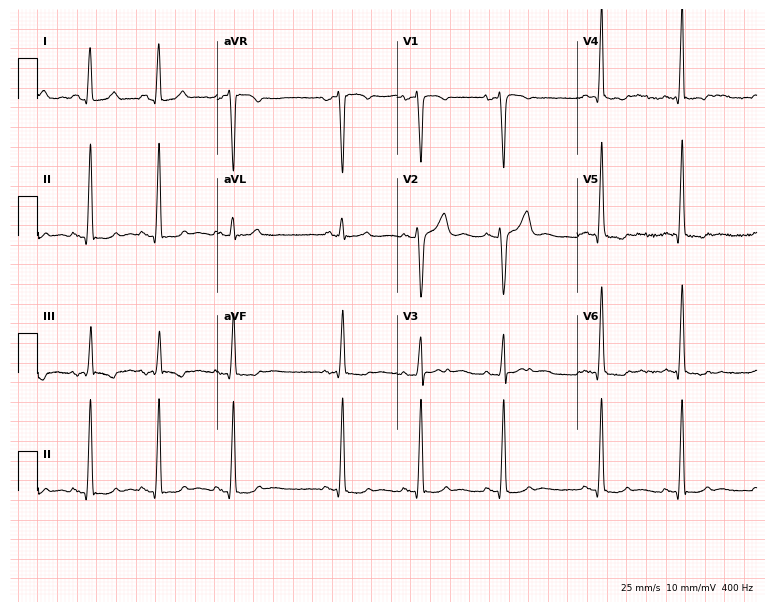
Standard 12-lead ECG recorded from a 23-year-old woman. None of these six findings is recorded: first-degree AV block, right bundle branch block, left bundle branch block, sinus bradycardia, atrial fibrillation, sinus tachycardia. Other findings, if any, are not listed.